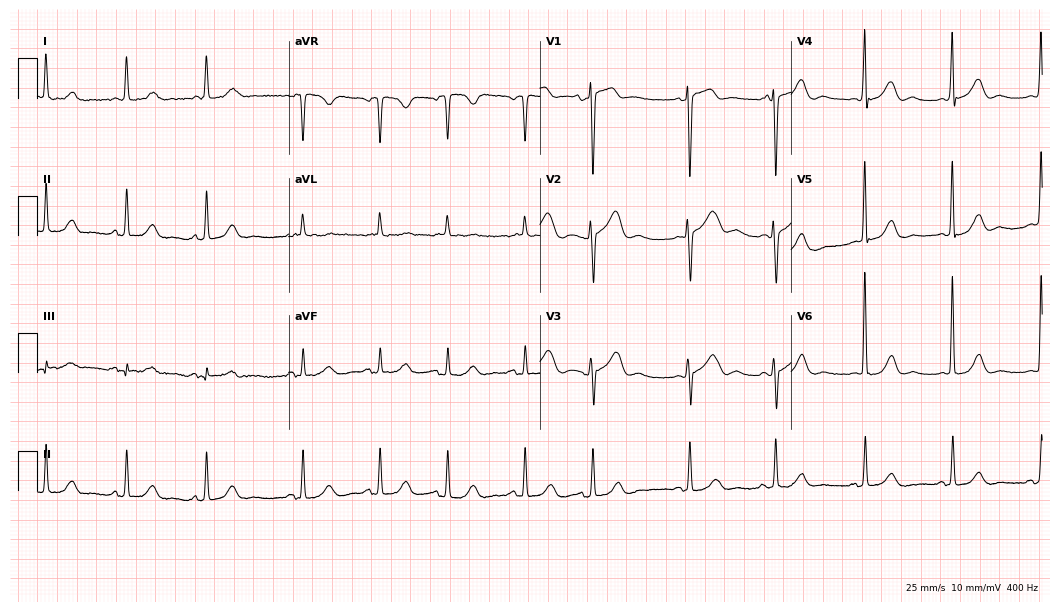
Resting 12-lead electrocardiogram (10.2-second recording at 400 Hz). Patient: an 89-year-old female. Read as a normal ECG.